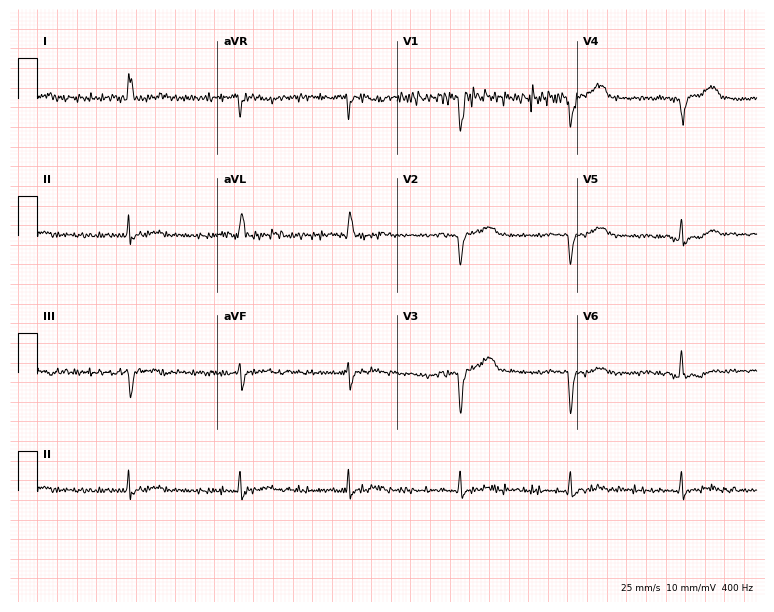
12-lead ECG from a man, 53 years old (7.3-second recording at 400 Hz). No first-degree AV block, right bundle branch block, left bundle branch block, sinus bradycardia, atrial fibrillation or sinus tachycardia recorded for this tracing.